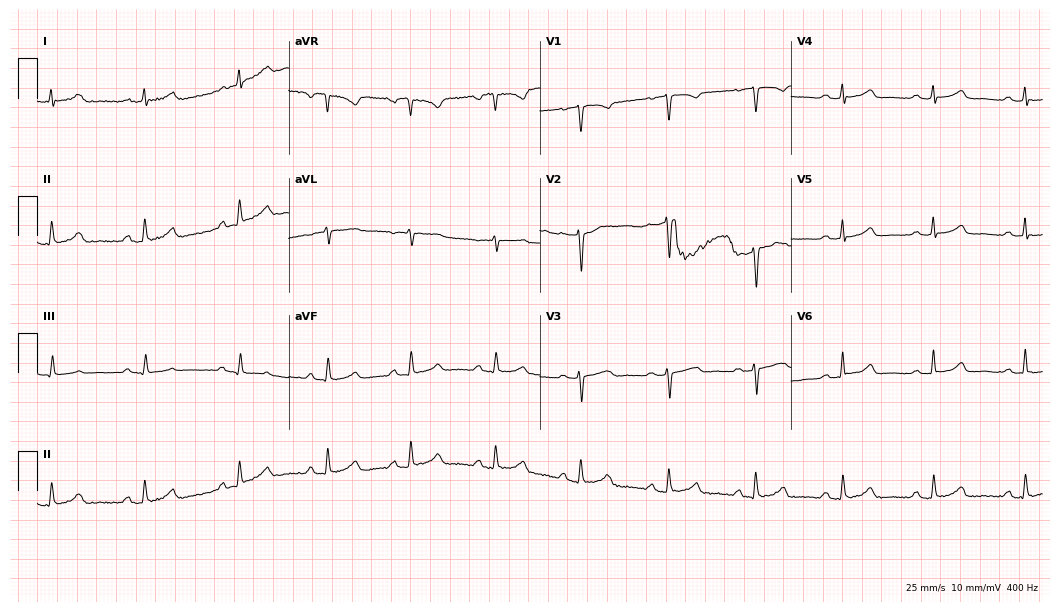
Standard 12-lead ECG recorded from a 40-year-old woman (10.2-second recording at 400 Hz). Read as a normal ECG.